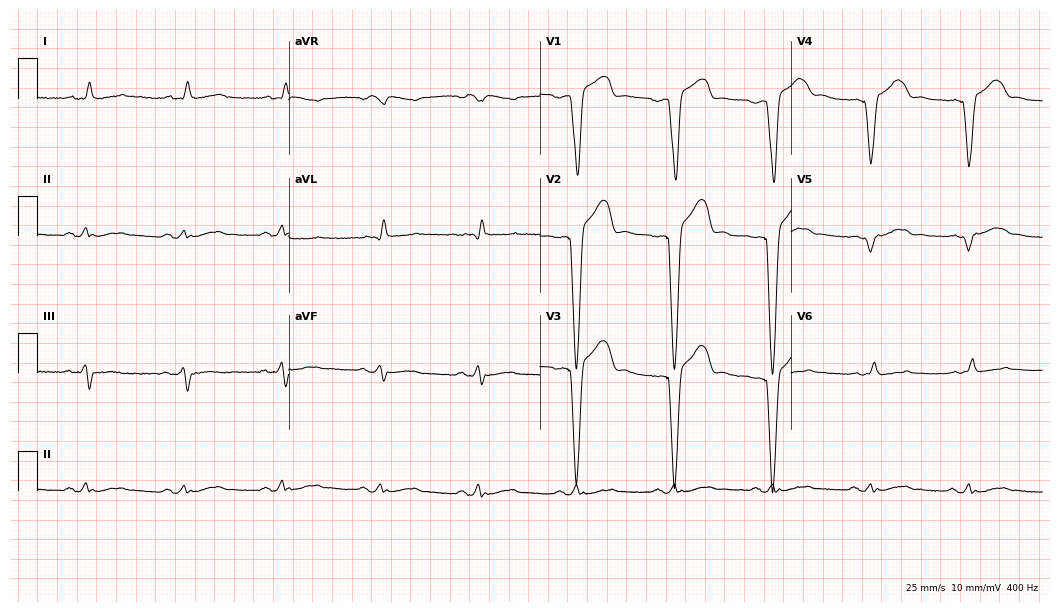
Electrocardiogram, a man, 55 years old. Of the six screened findings (first-degree AV block, right bundle branch block, left bundle branch block, sinus bradycardia, atrial fibrillation, sinus tachycardia), none is recorded. Only these six findings were labelled.